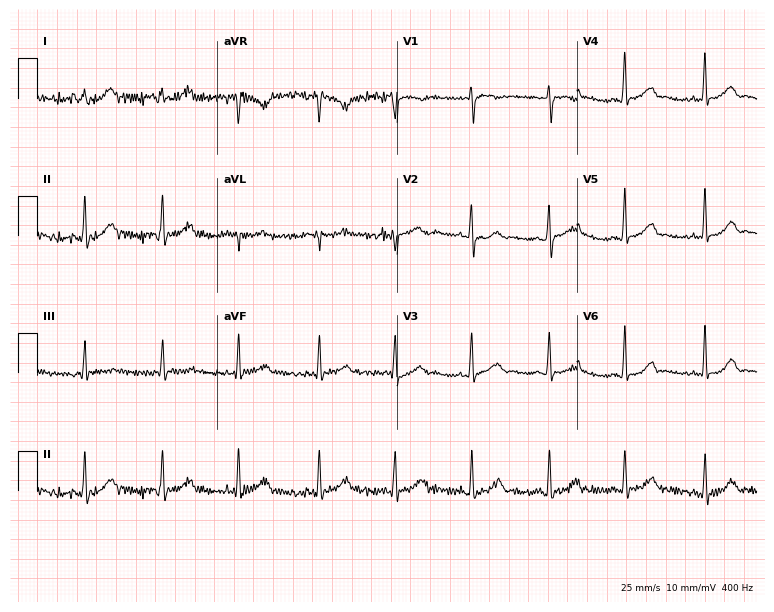
Standard 12-lead ECG recorded from a female patient, 17 years old (7.3-second recording at 400 Hz). Read as a normal ECG.